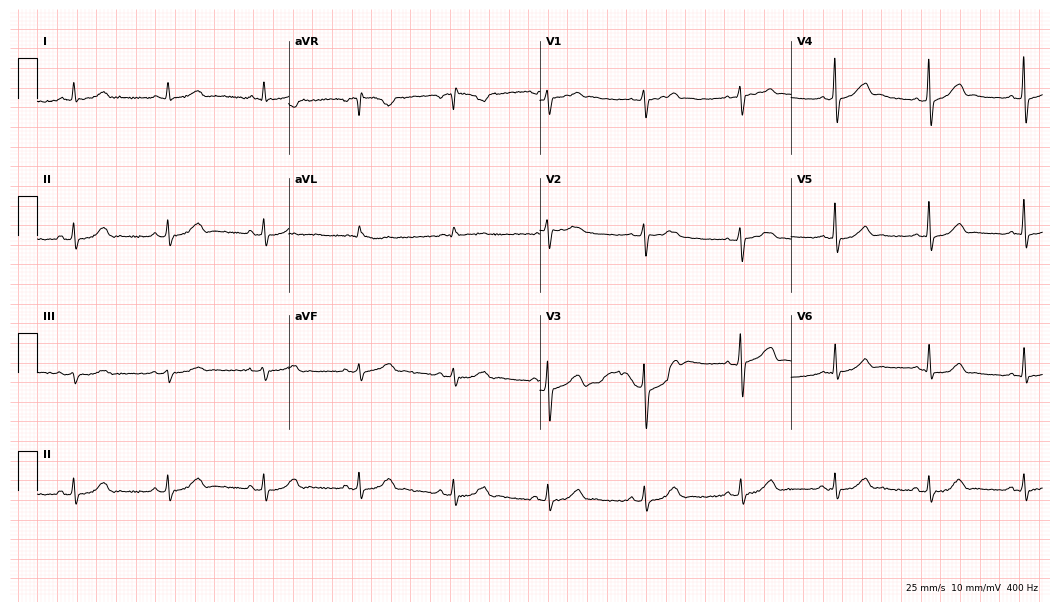
12-lead ECG from an 83-year-old man (10.2-second recording at 400 Hz). No first-degree AV block, right bundle branch block (RBBB), left bundle branch block (LBBB), sinus bradycardia, atrial fibrillation (AF) or sinus tachycardia recorded for this tracing.